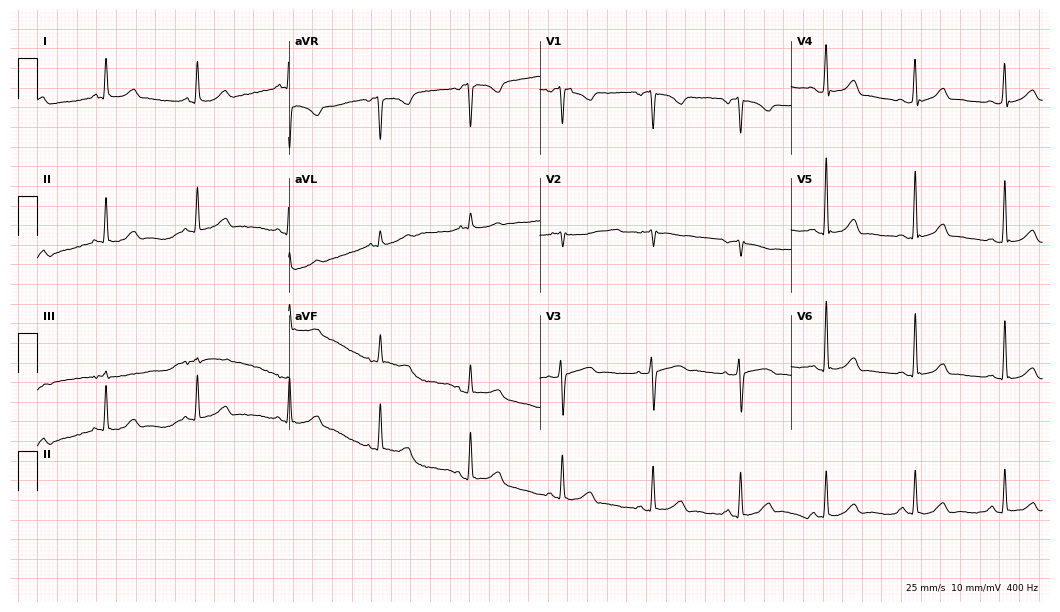
Resting 12-lead electrocardiogram (10.2-second recording at 400 Hz). Patient: a 58-year-old female. Read as a normal ECG.